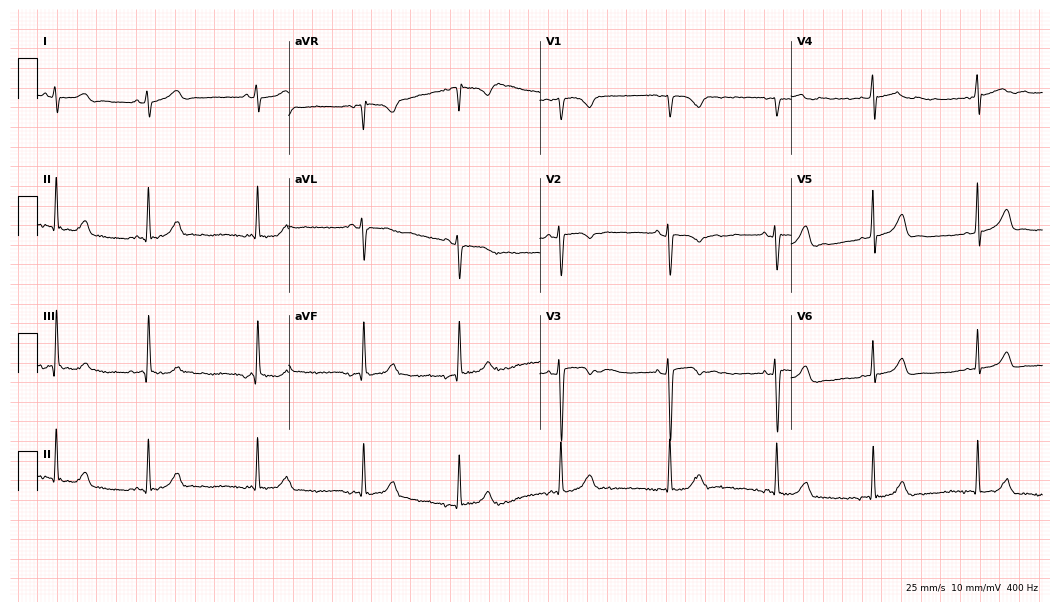
Standard 12-lead ECG recorded from a female, 18 years old (10.2-second recording at 400 Hz). None of these six findings is recorded: first-degree AV block, right bundle branch block (RBBB), left bundle branch block (LBBB), sinus bradycardia, atrial fibrillation (AF), sinus tachycardia. Other findings, if any, are not listed.